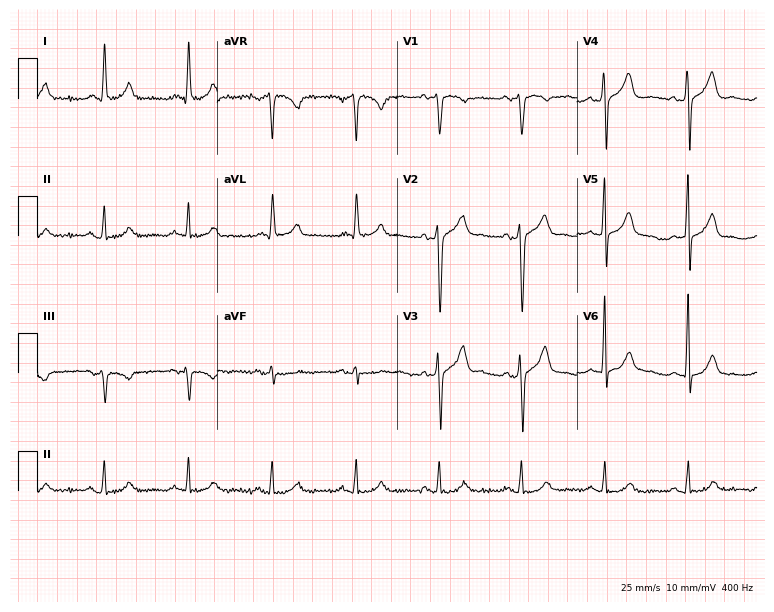
ECG (7.3-second recording at 400 Hz) — a 53-year-old male patient. Labelled as a normal ECG.